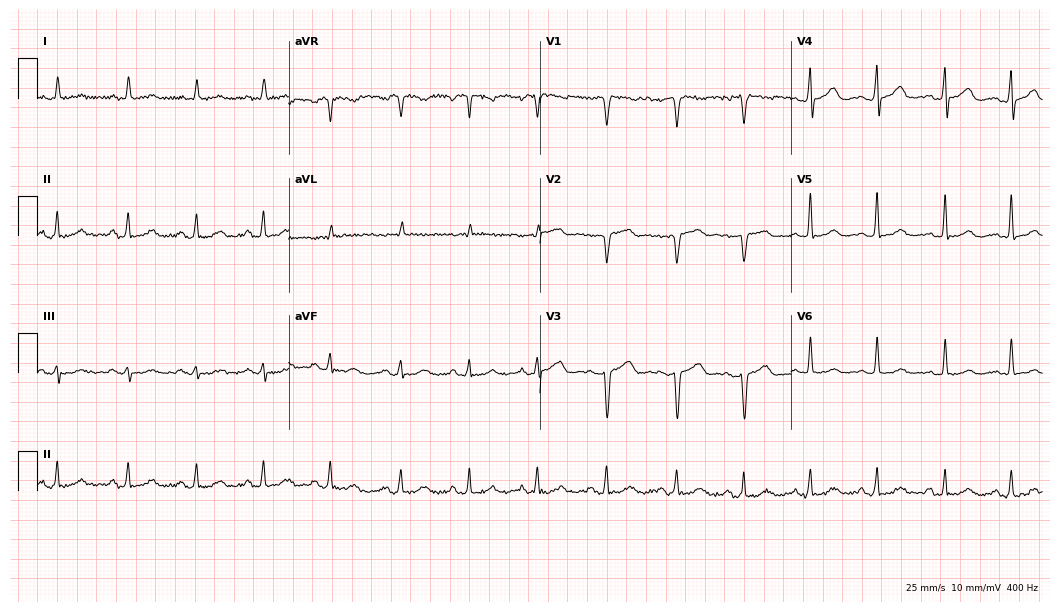
Resting 12-lead electrocardiogram. Patient: a female, 50 years old. None of these six findings is recorded: first-degree AV block, right bundle branch block (RBBB), left bundle branch block (LBBB), sinus bradycardia, atrial fibrillation (AF), sinus tachycardia. Only these six findings were labelled.